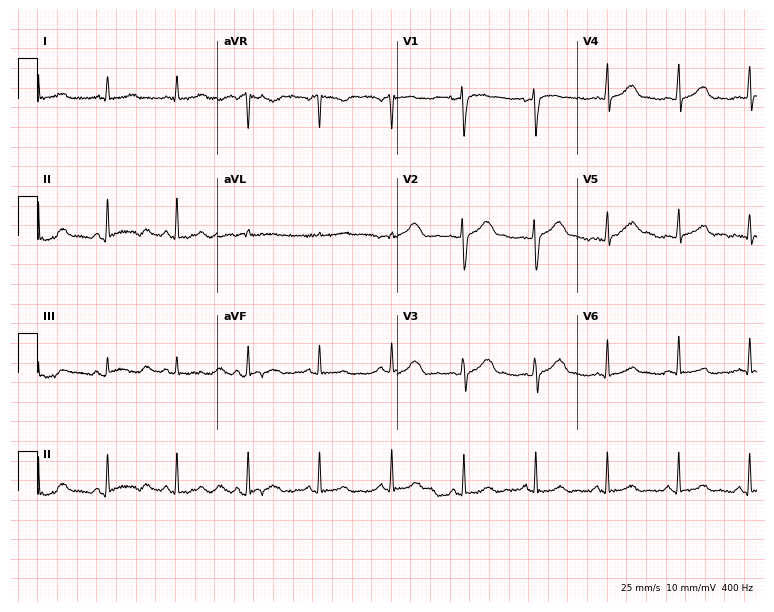
ECG (7.3-second recording at 400 Hz) — a 35-year-old female. Labelled as a normal ECG.